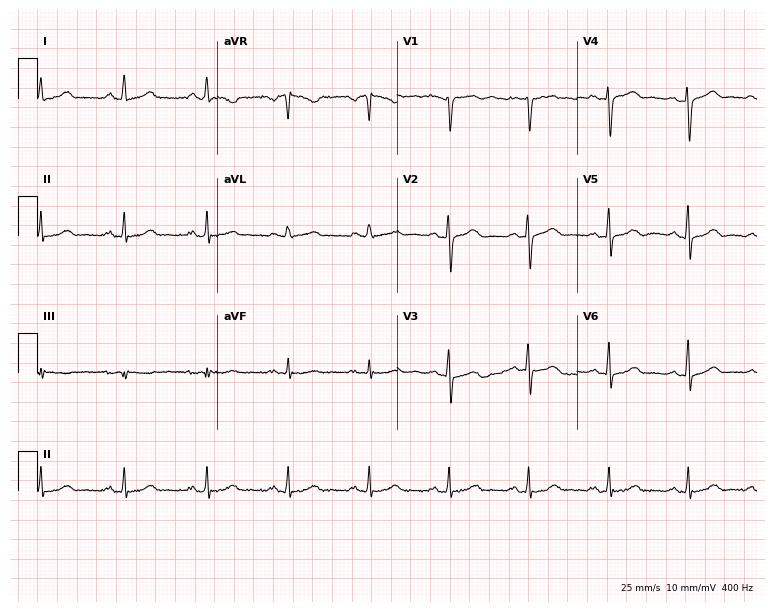
Standard 12-lead ECG recorded from a 49-year-old female (7.3-second recording at 400 Hz). Read as a normal ECG.